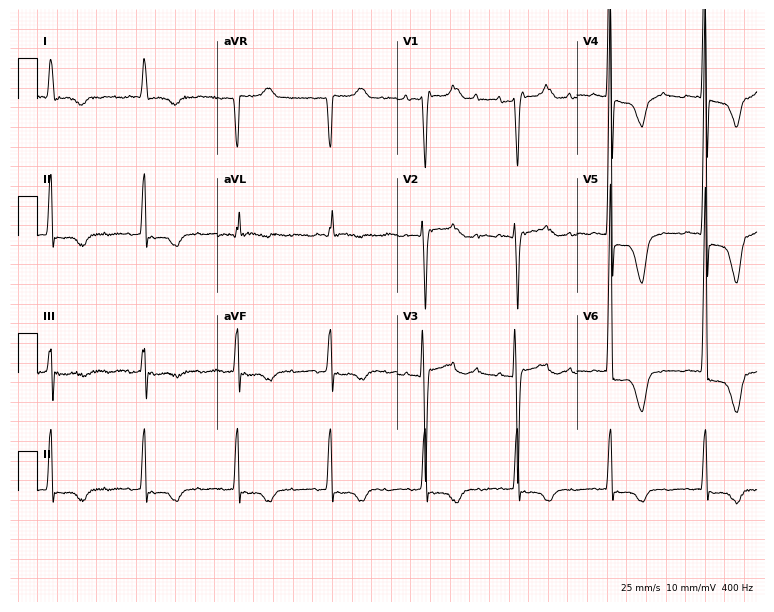
12-lead ECG from a 76-year-old woman. Recorded interpretation: within normal limits.